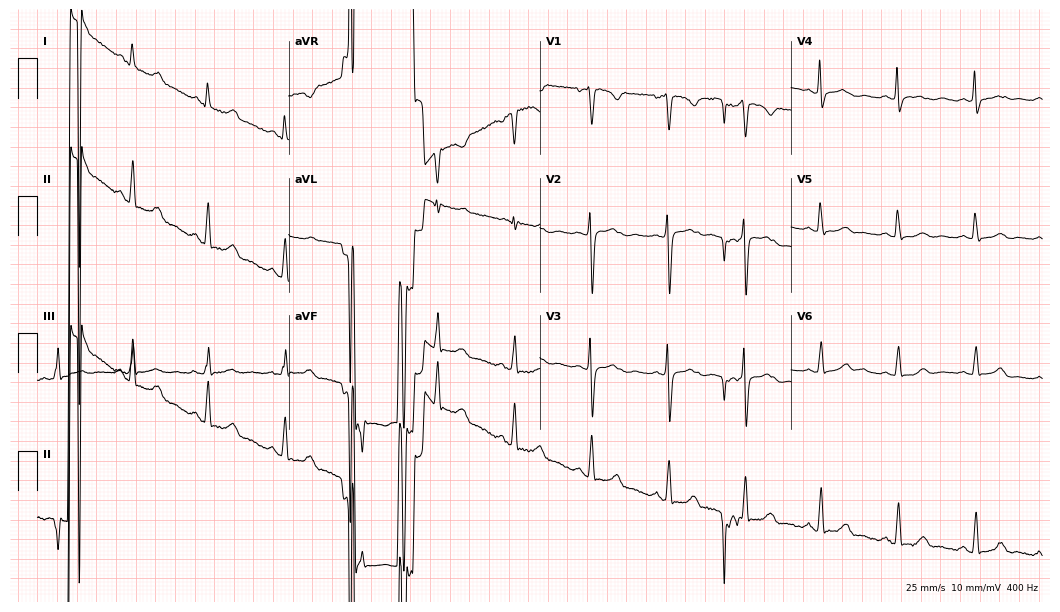
Standard 12-lead ECG recorded from a woman, 37 years old (10.2-second recording at 400 Hz). None of these six findings is recorded: first-degree AV block, right bundle branch block, left bundle branch block, sinus bradycardia, atrial fibrillation, sinus tachycardia. Other findings, if any, are not listed.